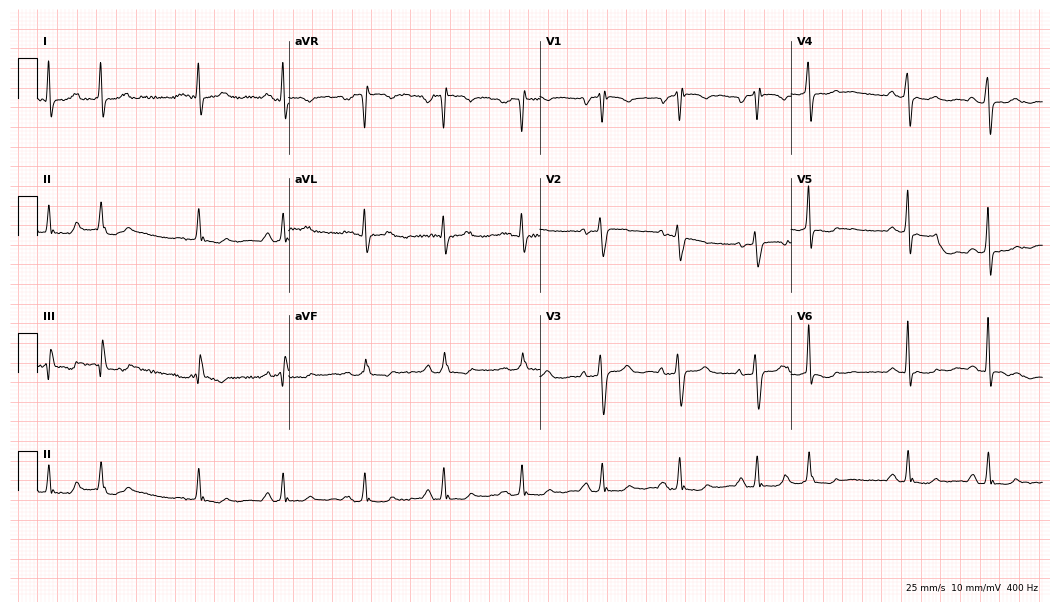
Resting 12-lead electrocardiogram (10.2-second recording at 400 Hz). Patient: a 65-year-old female. None of these six findings is recorded: first-degree AV block, right bundle branch block, left bundle branch block, sinus bradycardia, atrial fibrillation, sinus tachycardia.